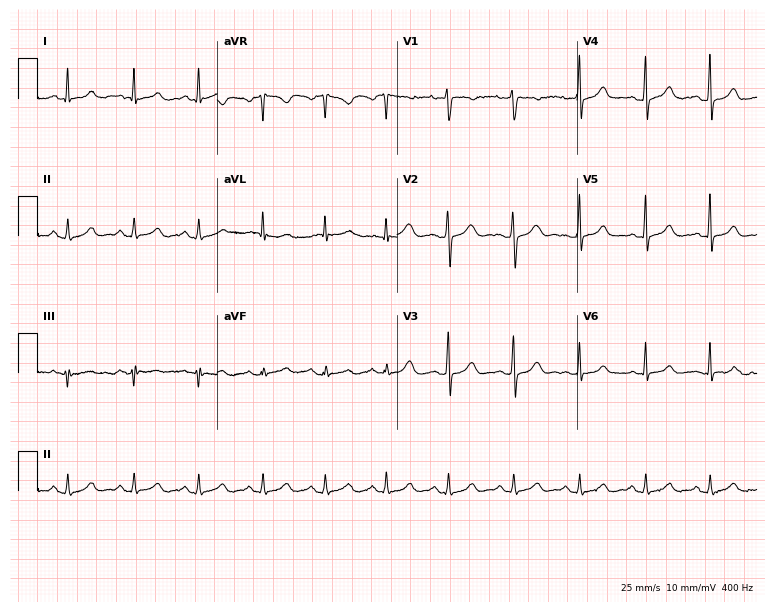
12-lead ECG from a female, 33 years old. Screened for six findings — first-degree AV block, right bundle branch block, left bundle branch block, sinus bradycardia, atrial fibrillation, sinus tachycardia — none is recorded.